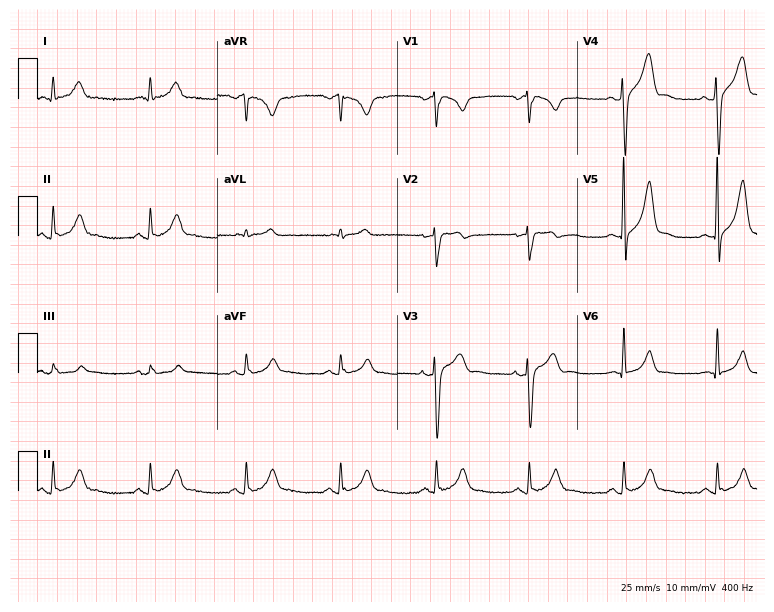
Resting 12-lead electrocardiogram (7.3-second recording at 400 Hz). Patient: a male, 38 years old. None of these six findings is recorded: first-degree AV block, right bundle branch block (RBBB), left bundle branch block (LBBB), sinus bradycardia, atrial fibrillation (AF), sinus tachycardia. Findings outside these six are not listed.